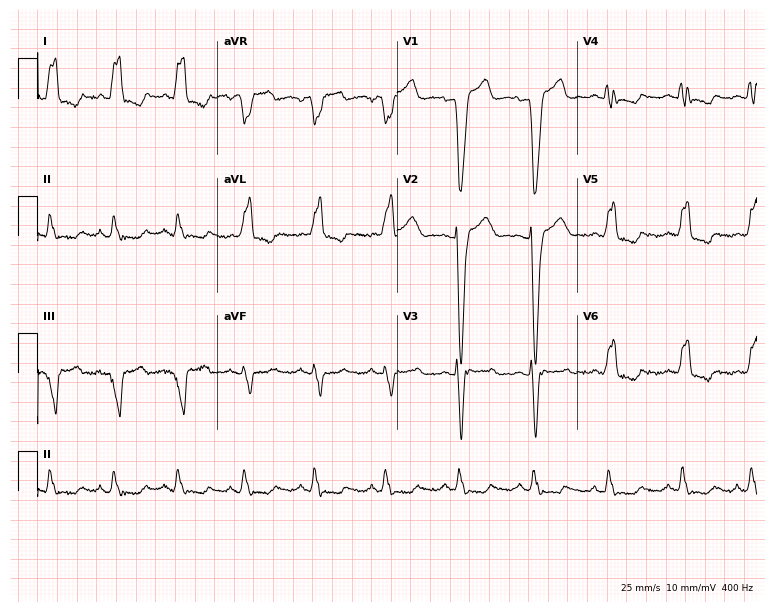
Electrocardiogram, a female, 70 years old. Interpretation includes left bundle branch block (LBBB).